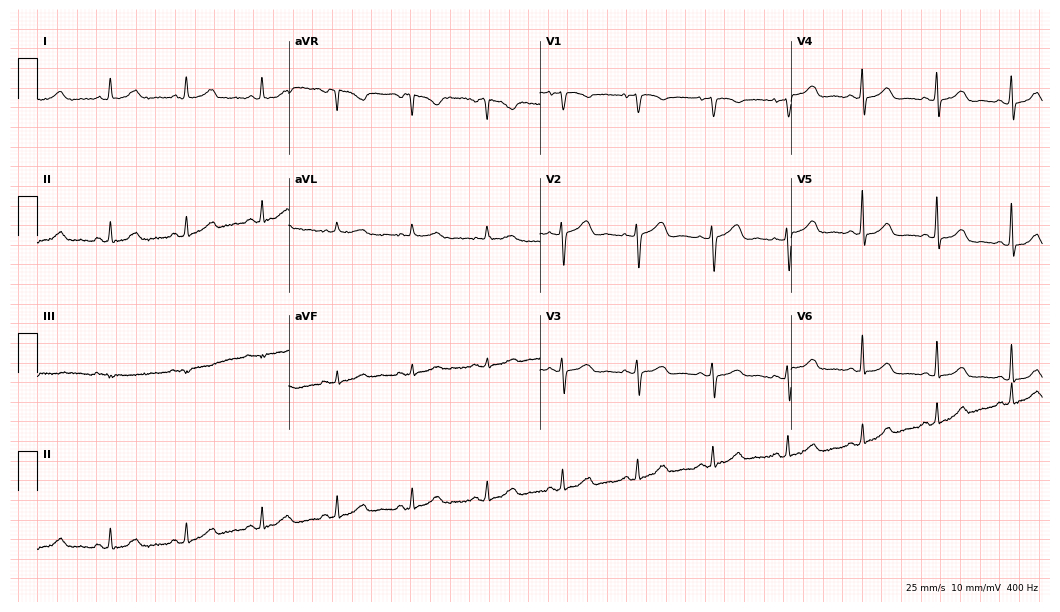
Standard 12-lead ECG recorded from a 77-year-old female. Read as a normal ECG.